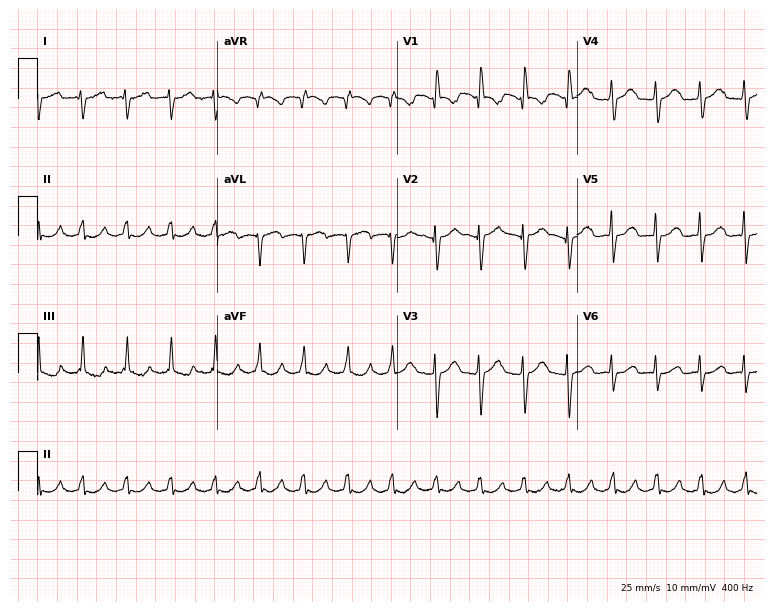
ECG (7.3-second recording at 400 Hz) — a male, 74 years old. Screened for six findings — first-degree AV block, right bundle branch block (RBBB), left bundle branch block (LBBB), sinus bradycardia, atrial fibrillation (AF), sinus tachycardia — none is recorded.